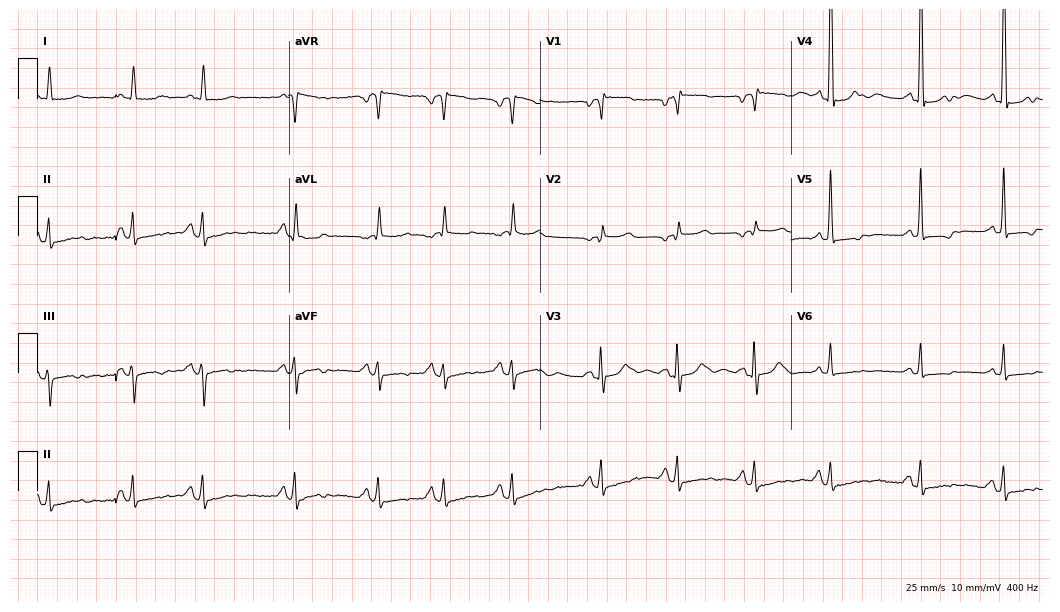
12-lead ECG from a 56-year-old woman. Screened for six findings — first-degree AV block, right bundle branch block, left bundle branch block, sinus bradycardia, atrial fibrillation, sinus tachycardia — none is recorded.